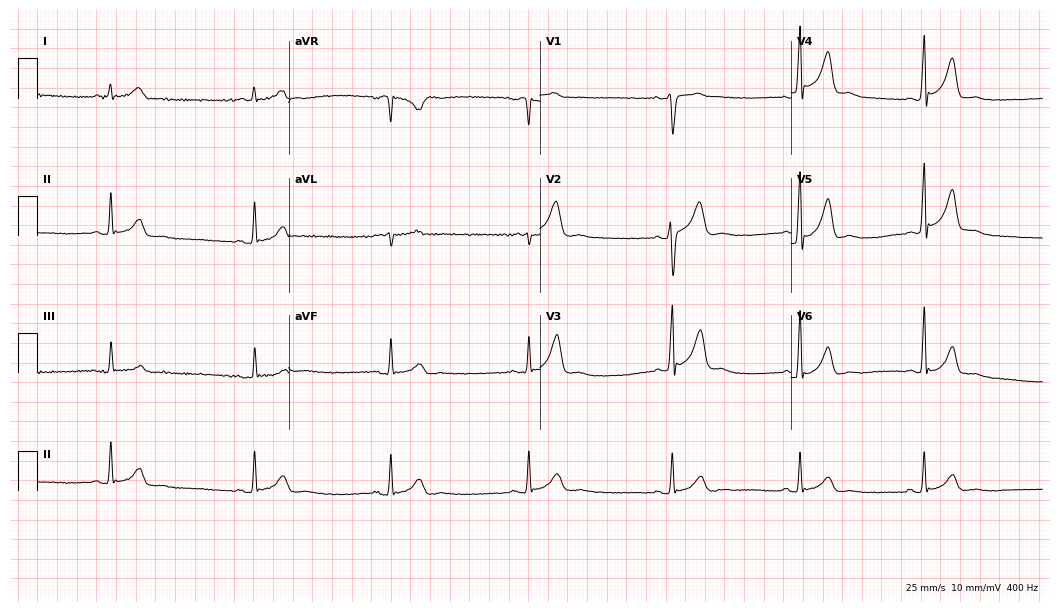
Standard 12-lead ECG recorded from a male patient, 39 years old (10.2-second recording at 400 Hz). The tracing shows sinus bradycardia (a sinus rate of 50 beats per minute or less).